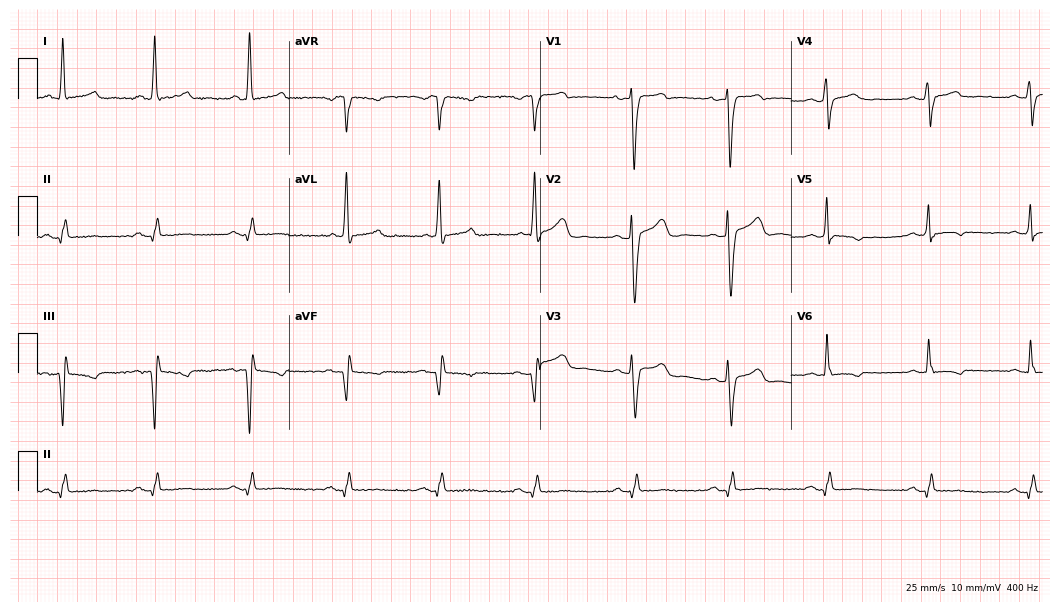
Electrocardiogram, a 48-year-old woman. Of the six screened findings (first-degree AV block, right bundle branch block, left bundle branch block, sinus bradycardia, atrial fibrillation, sinus tachycardia), none is recorded. Other findings, if any, are not listed.